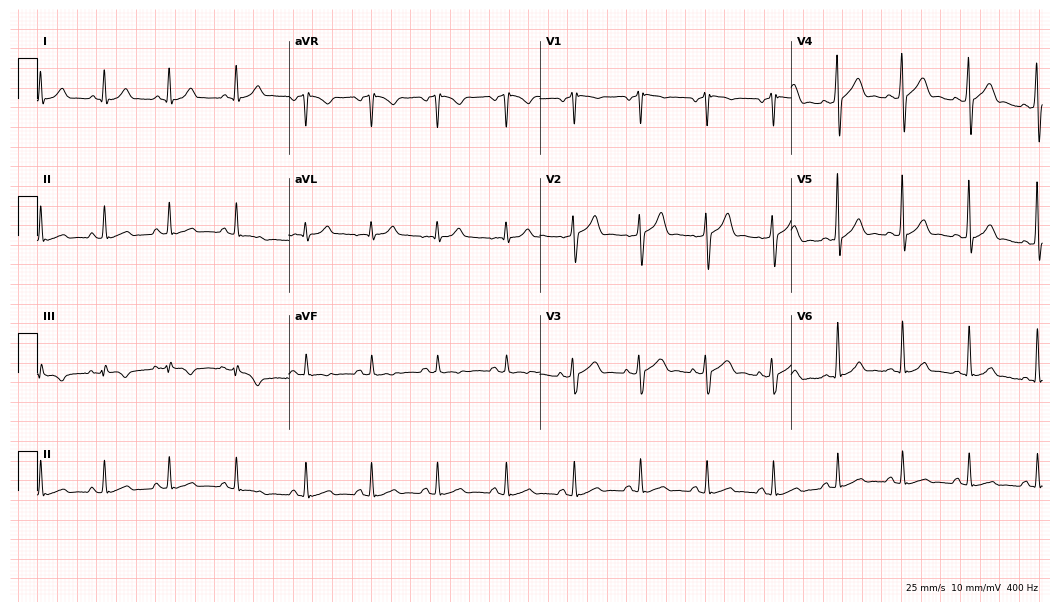
12-lead ECG from a male, 51 years old. Recorded interpretation: within normal limits.